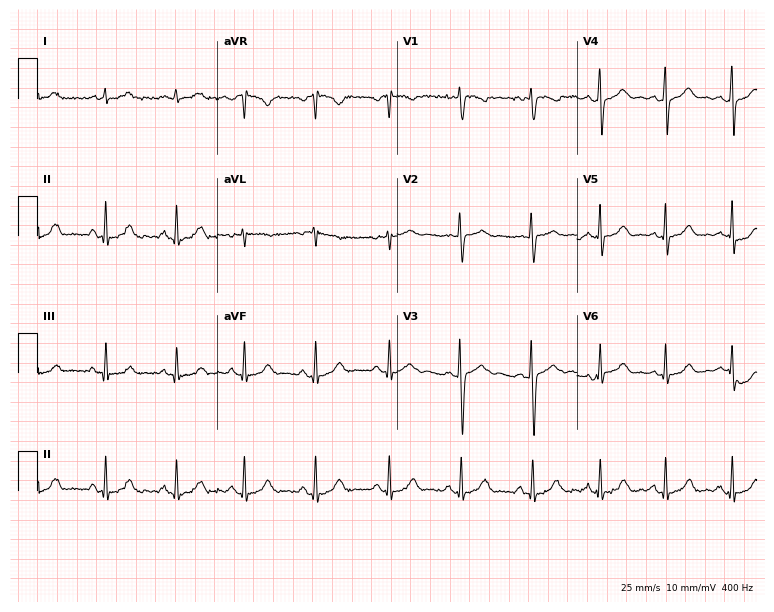
Resting 12-lead electrocardiogram. Patient: a female, 26 years old. Read as a normal ECG.